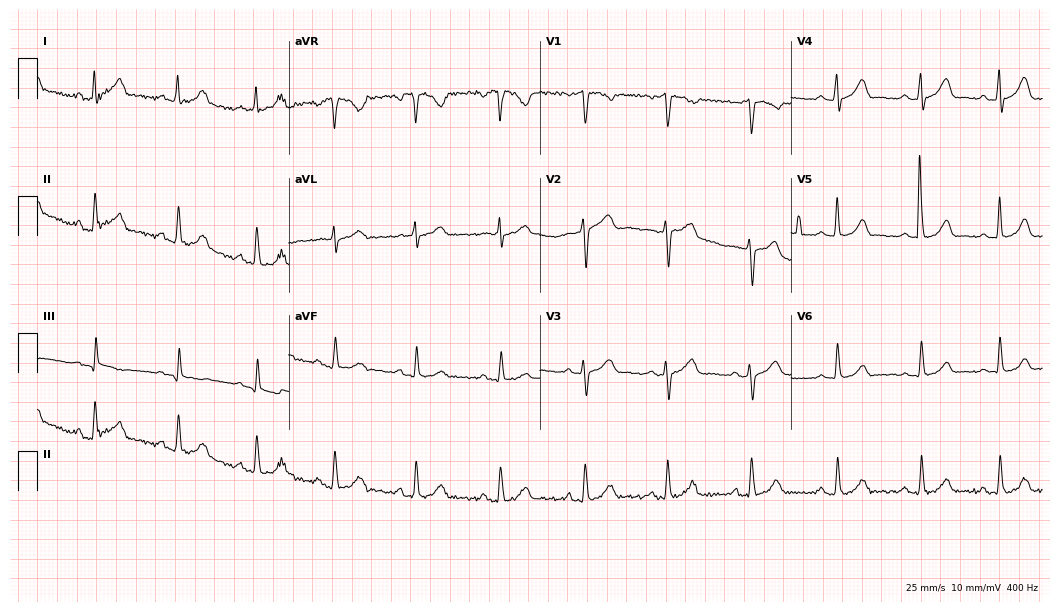
12-lead ECG (10.2-second recording at 400 Hz) from a female, 33 years old. Screened for six findings — first-degree AV block, right bundle branch block (RBBB), left bundle branch block (LBBB), sinus bradycardia, atrial fibrillation (AF), sinus tachycardia — none is recorded. Only these six findings were labelled.